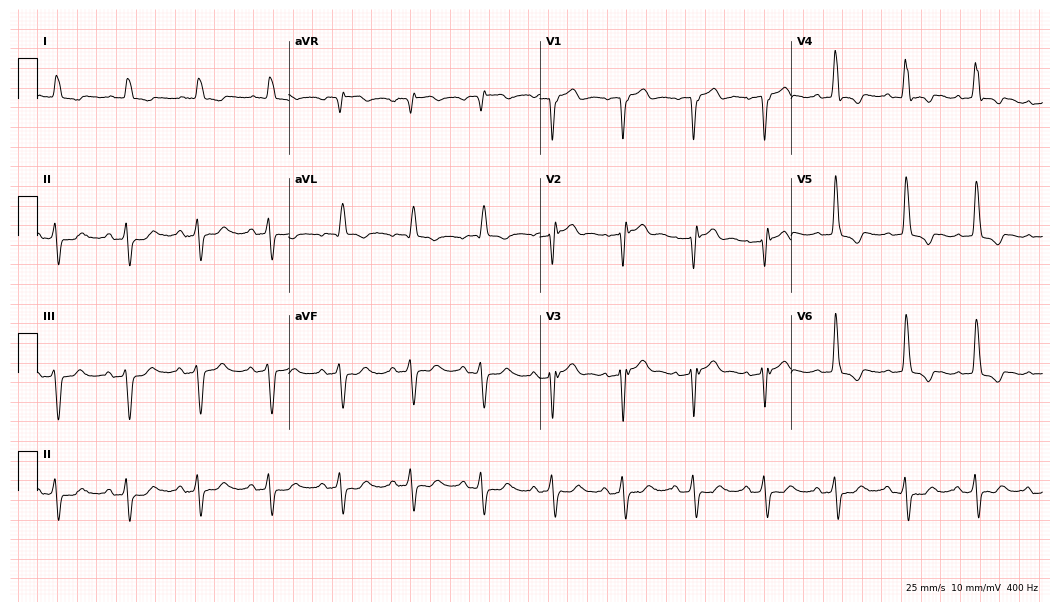
Resting 12-lead electrocardiogram. Patient: an 85-year-old male. None of these six findings is recorded: first-degree AV block, right bundle branch block, left bundle branch block, sinus bradycardia, atrial fibrillation, sinus tachycardia.